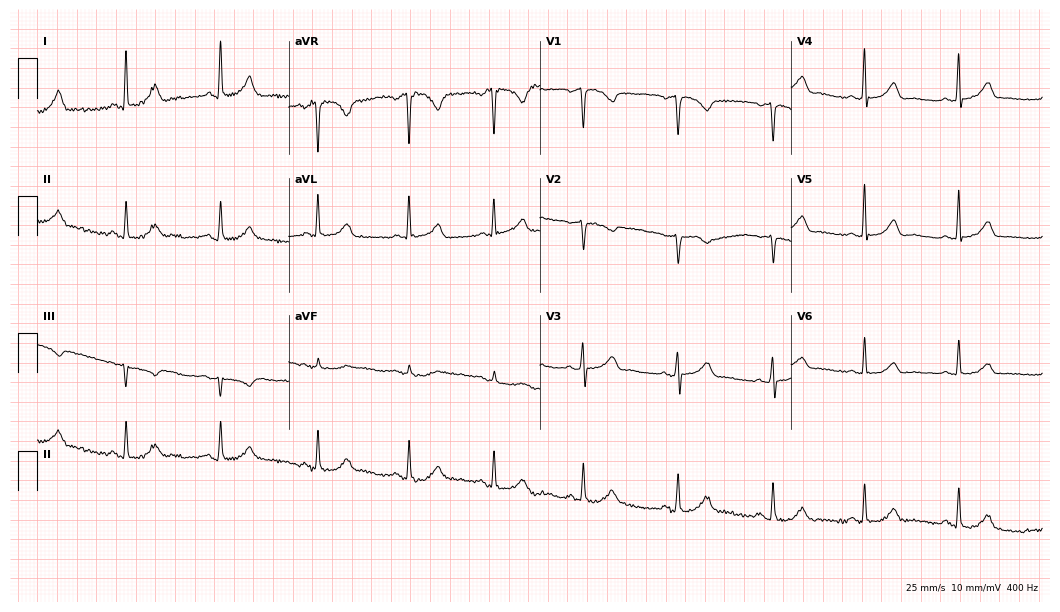
12-lead ECG from a female, 55 years old. No first-degree AV block, right bundle branch block (RBBB), left bundle branch block (LBBB), sinus bradycardia, atrial fibrillation (AF) or sinus tachycardia recorded for this tracing.